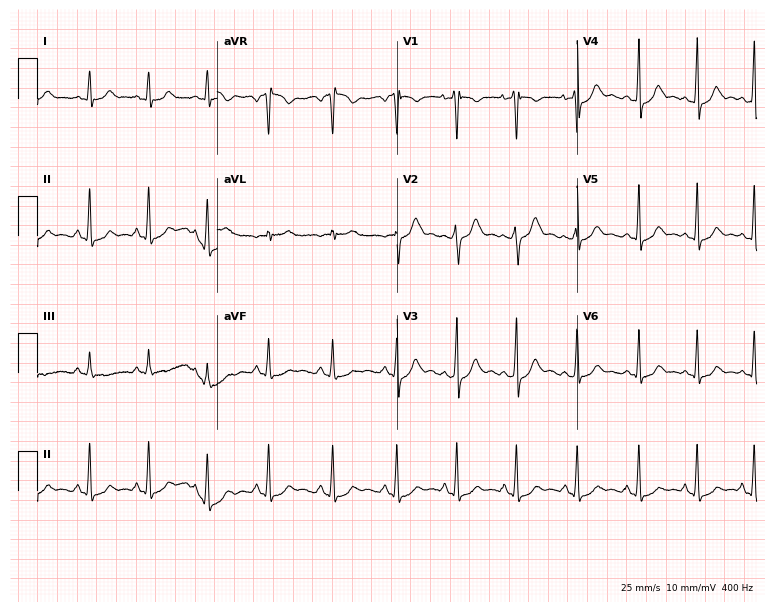
ECG — a 17-year-old woman. Labelled as a normal ECG.